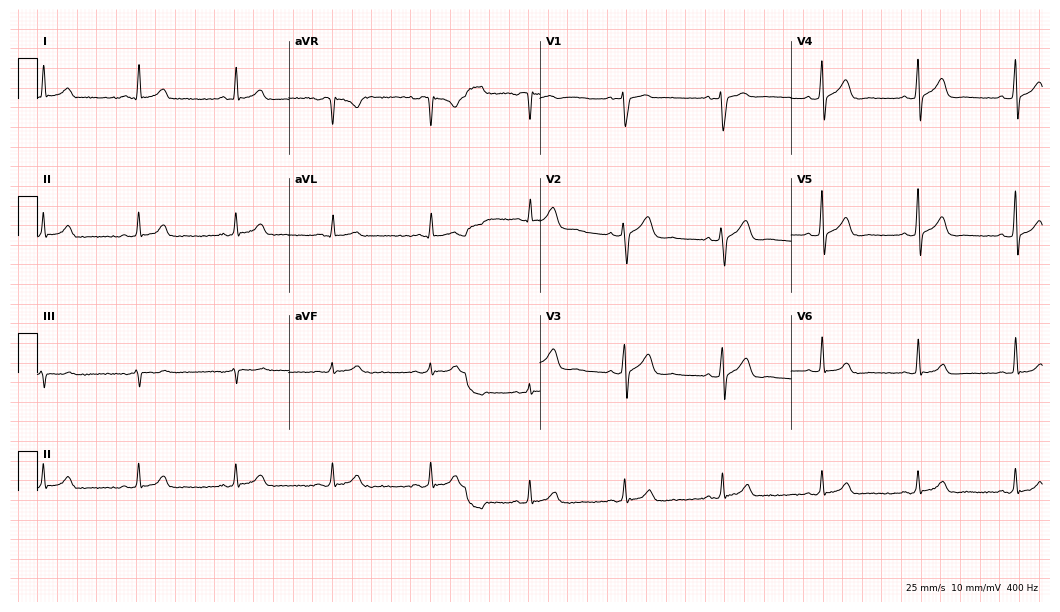
ECG — a male, 36 years old. Screened for six findings — first-degree AV block, right bundle branch block, left bundle branch block, sinus bradycardia, atrial fibrillation, sinus tachycardia — none is recorded. Only these six findings were labelled.